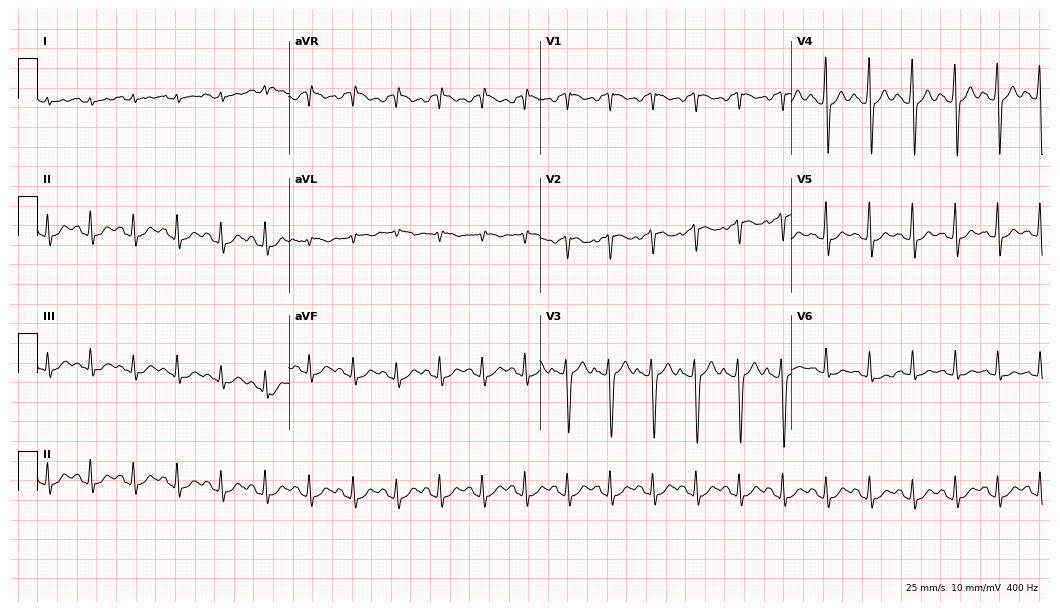
12-lead ECG from a man, 22 years old (10.2-second recording at 400 Hz). Shows sinus tachycardia (a sinus rate of 100 beats per minute or more).